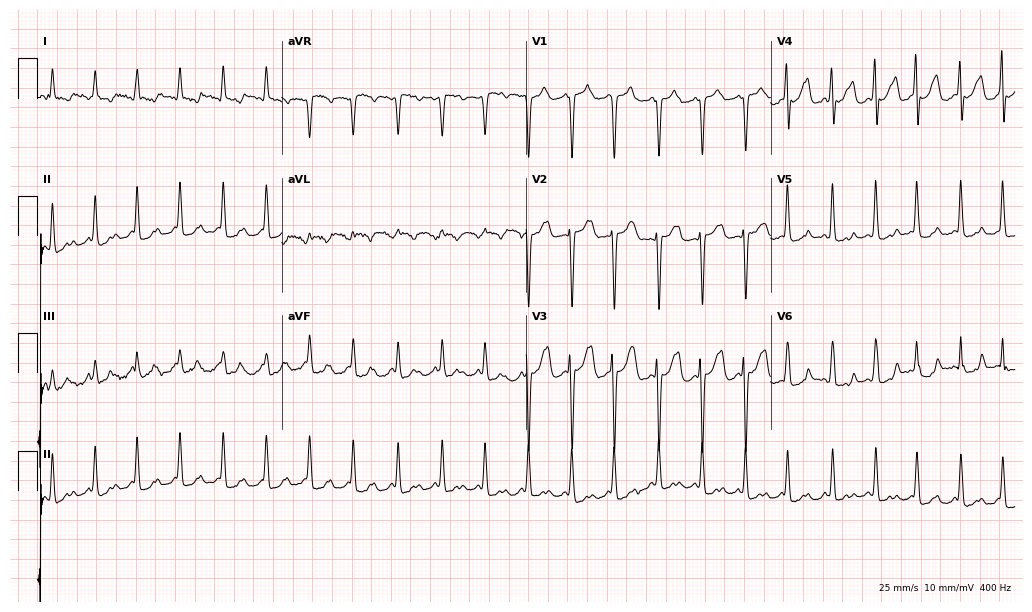
ECG — a 41-year-old woman. Findings include sinus tachycardia (a sinus rate of 100 beats per minute or more).